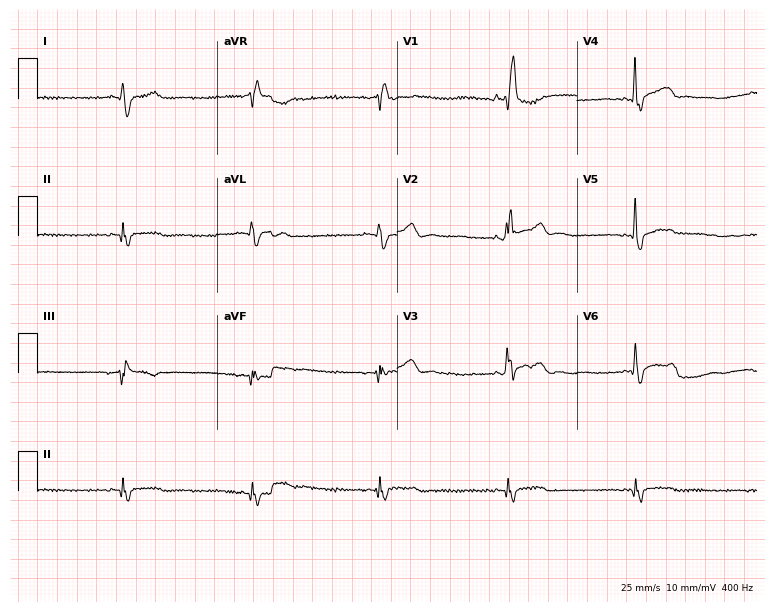
Standard 12-lead ECG recorded from a male patient, 44 years old. The tracing shows right bundle branch block (RBBB).